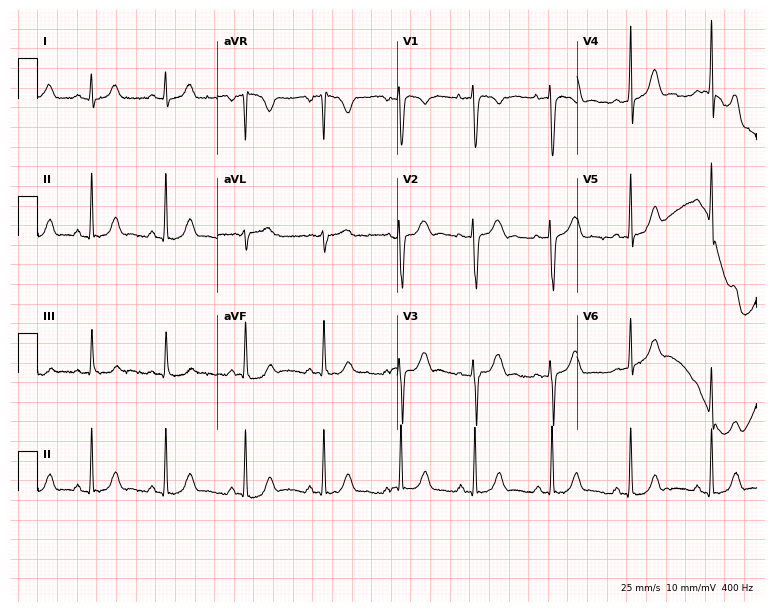
Resting 12-lead electrocardiogram (7.3-second recording at 400 Hz). Patient: a 23-year-old woman. Read as a normal ECG.